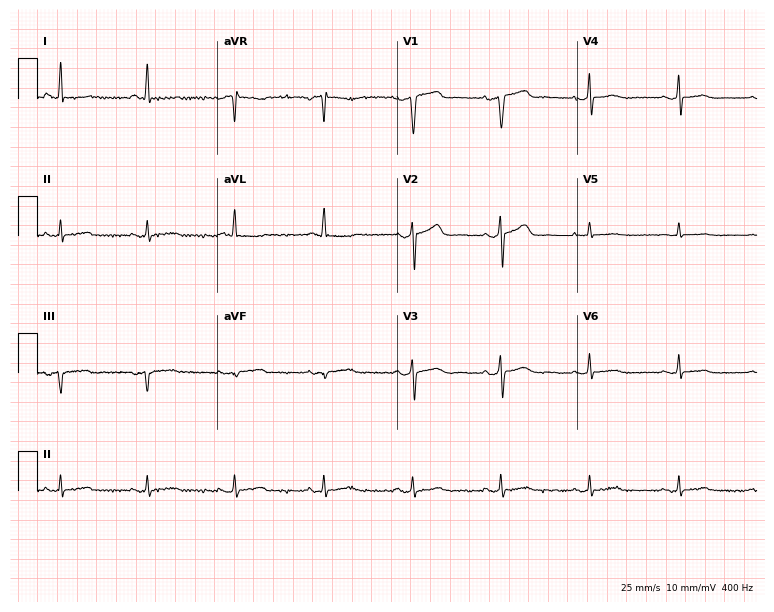
Electrocardiogram, a 76-year-old female. Overall reading on record: normal ECG.